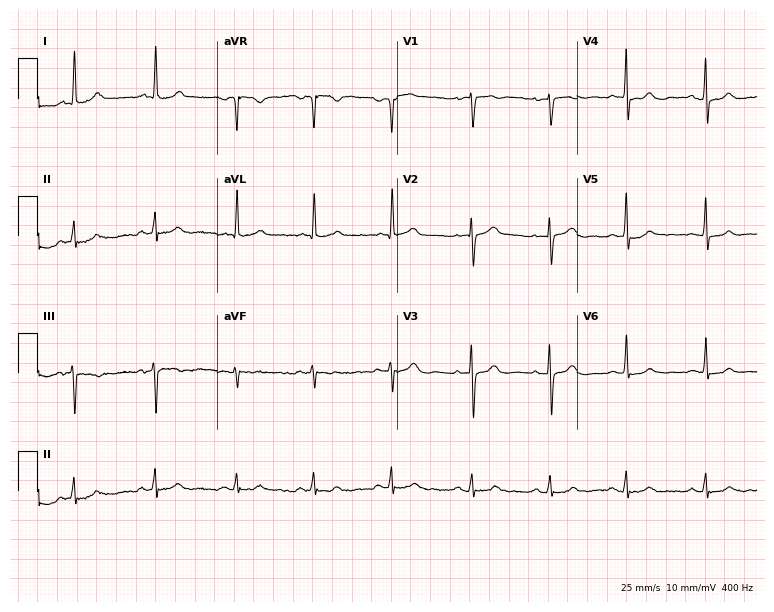
12-lead ECG from a 70-year-old female patient. No first-degree AV block, right bundle branch block, left bundle branch block, sinus bradycardia, atrial fibrillation or sinus tachycardia recorded for this tracing.